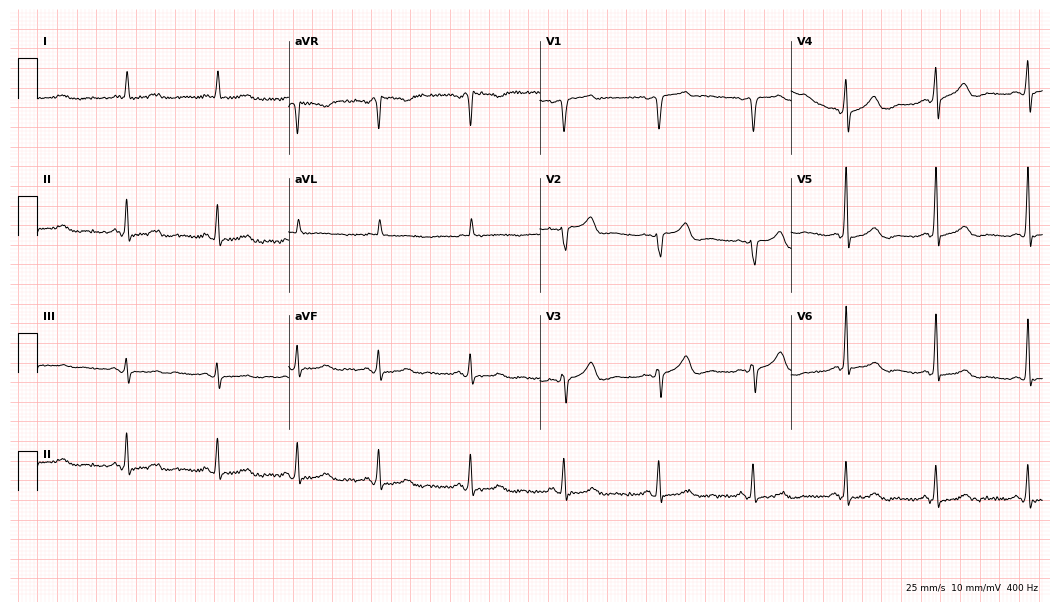
12-lead ECG (10.2-second recording at 400 Hz) from a female, 71 years old. Screened for six findings — first-degree AV block, right bundle branch block, left bundle branch block, sinus bradycardia, atrial fibrillation, sinus tachycardia — none is recorded. Findings outside these six are not listed.